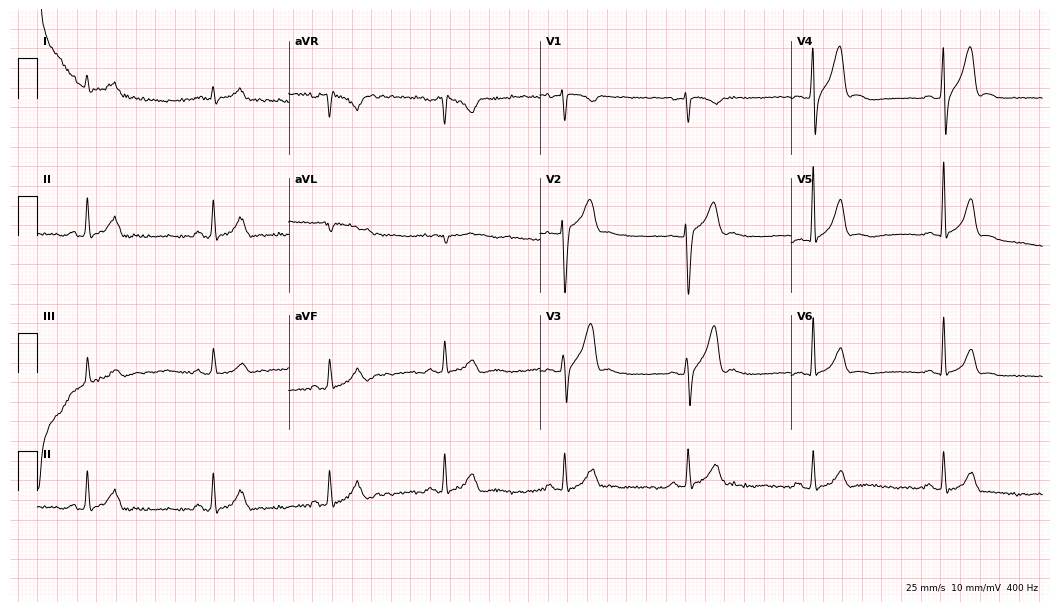
Resting 12-lead electrocardiogram (10.2-second recording at 400 Hz). Patient: a 42-year-old male. The tracing shows sinus bradycardia (a sinus rate of 50 beats per minute or less).